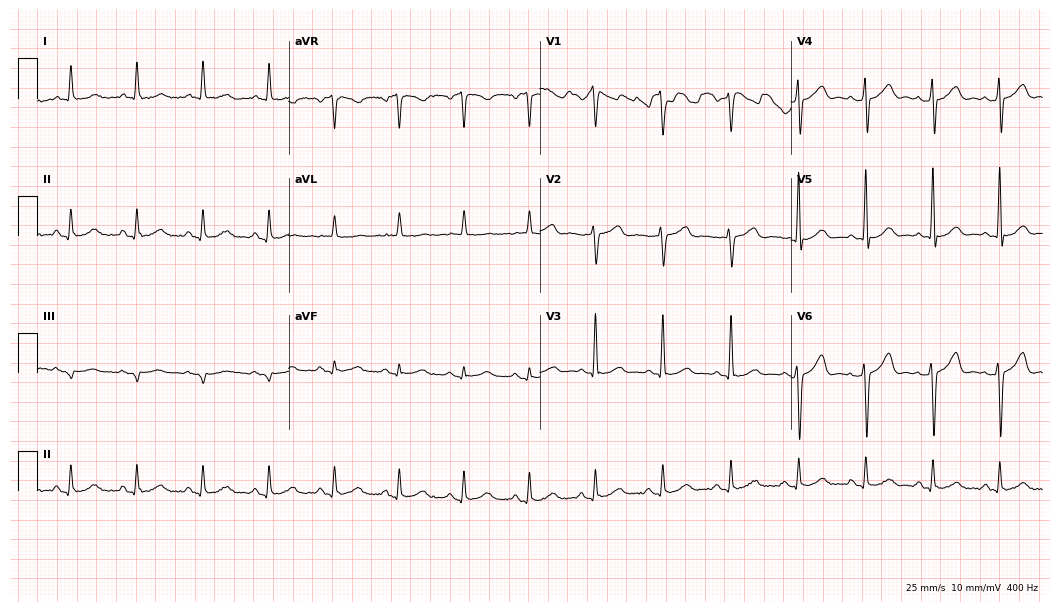
Electrocardiogram, a 58-year-old male. Overall reading on record: normal ECG.